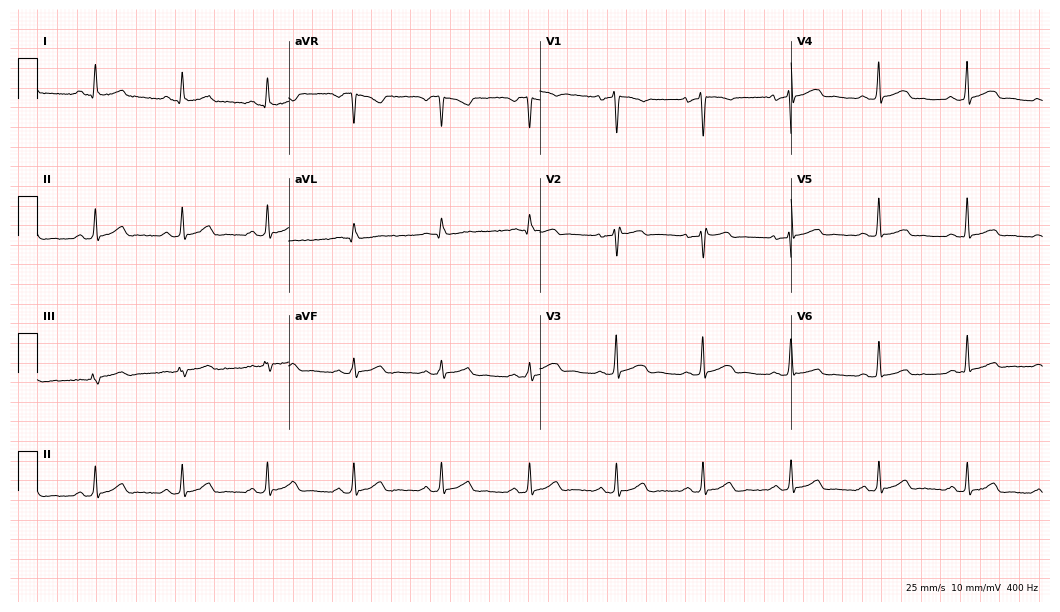
ECG — a woman, 39 years old. Screened for six findings — first-degree AV block, right bundle branch block, left bundle branch block, sinus bradycardia, atrial fibrillation, sinus tachycardia — none is recorded.